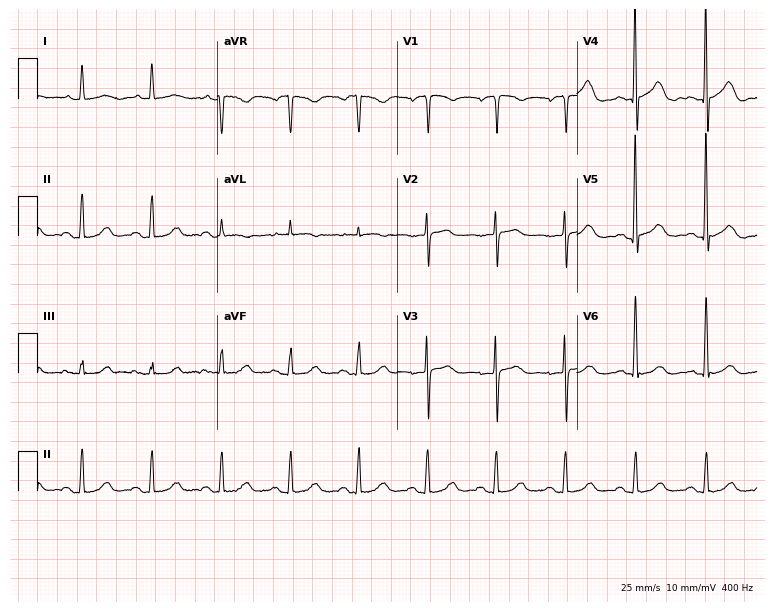
12-lead ECG from a female patient, 84 years old (7.3-second recording at 400 Hz). Recorded interpretation: within normal limits.